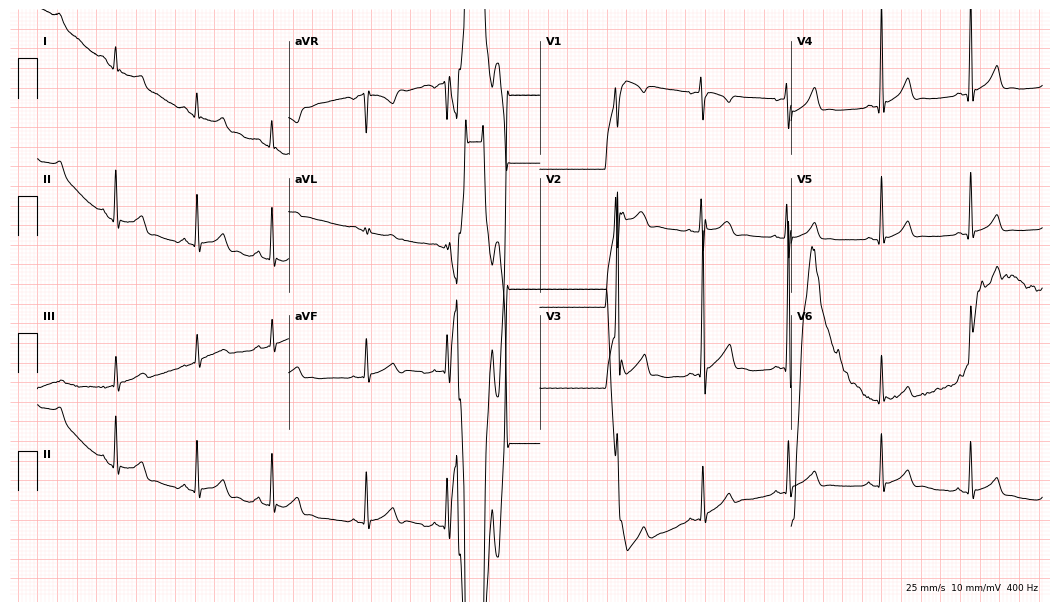
ECG — a man, 17 years old. Labelled as a normal ECG.